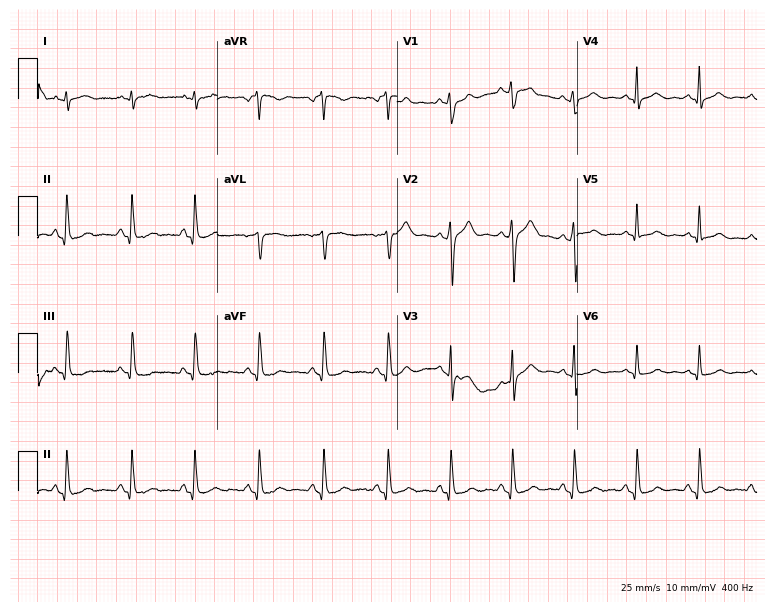
Standard 12-lead ECG recorded from a male patient, 39 years old. Read as a normal ECG.